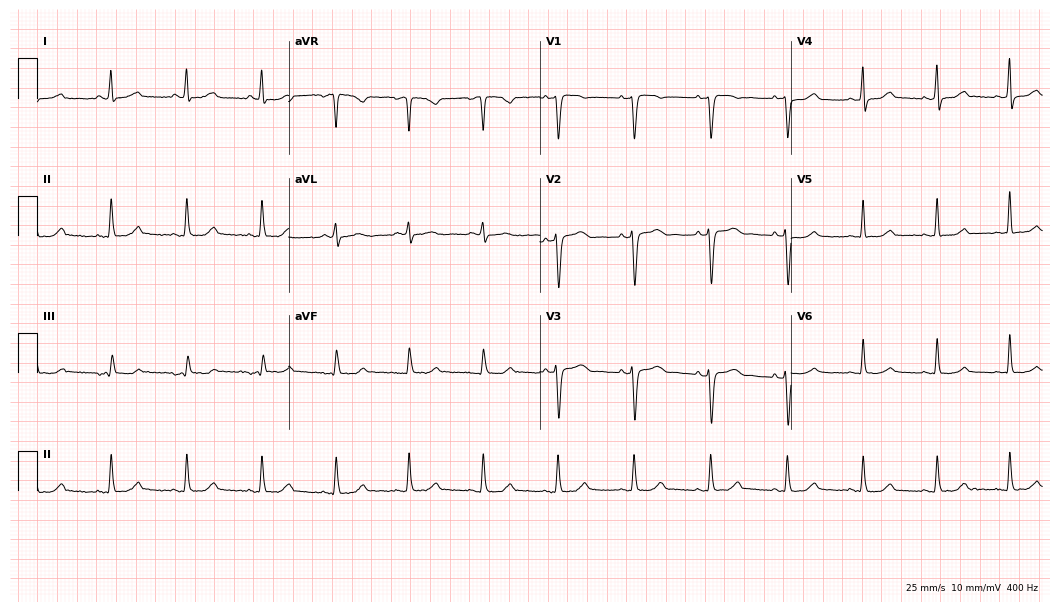
Electrocardiogram, a female patient, 53 years old. Of the six screened findings (first-degree AV block, right bundle branch block (RBBB), left bundle branch block (LBBB), sinus bradycardia, atrial fibrillation (AF), sinus tachycardia), none is recorded.